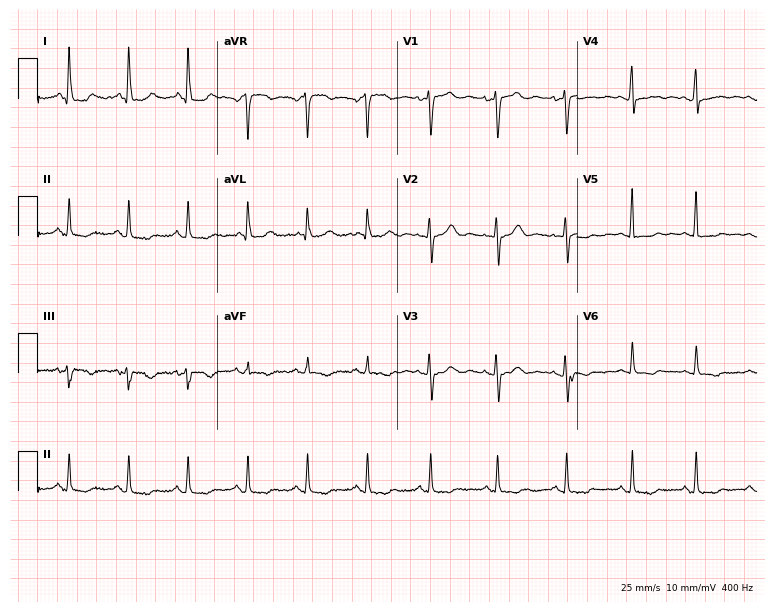
Standard 12-lead ECG recorded from a 59-year-old female patient. None of these six findings is recorded: first-degree AV block, right bundle branch block, left bundle branch block, sinus bradycardia, atrial fibrillation, sinus tachycardia. Findings outside these six are not listed.